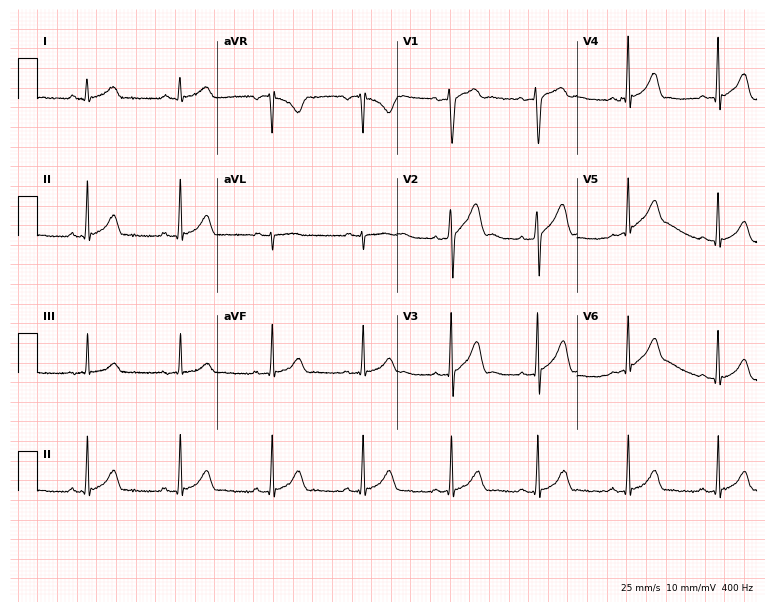
12-lead ECG from a 40-year-old male patient. Labelled as a normal ECG.